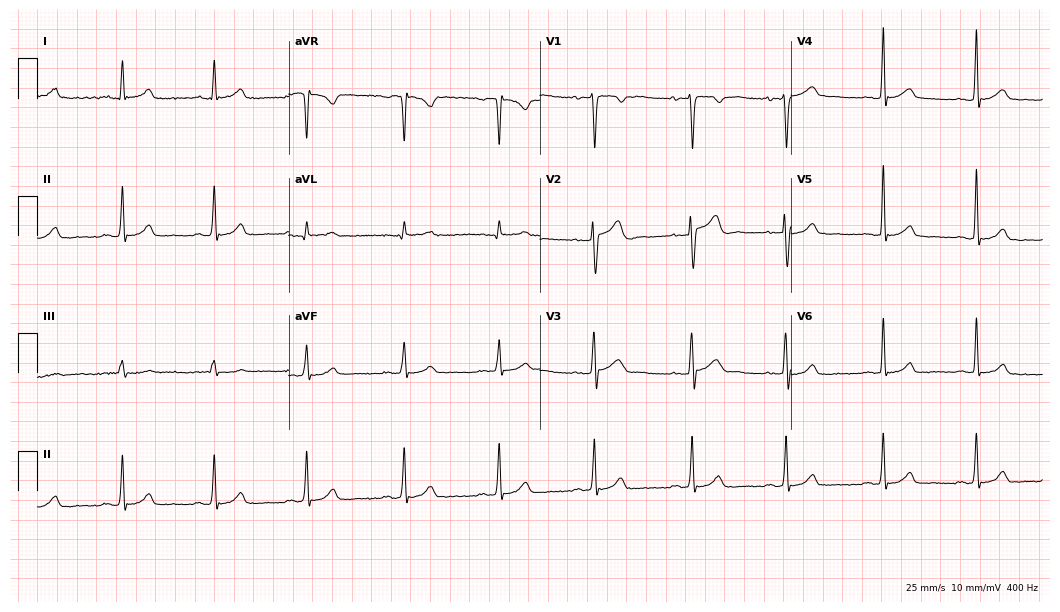
Electrocardiogram (10.2-second recording at 400 Hz), a 27-year-old female. Of the six screened findings (first-degree AV block, right bundle branch block (RBBB), left bundle branch block (LBBB), sinus bradycardia, atrial fibrillation (AF), sinus tachycardia), none is recorded.